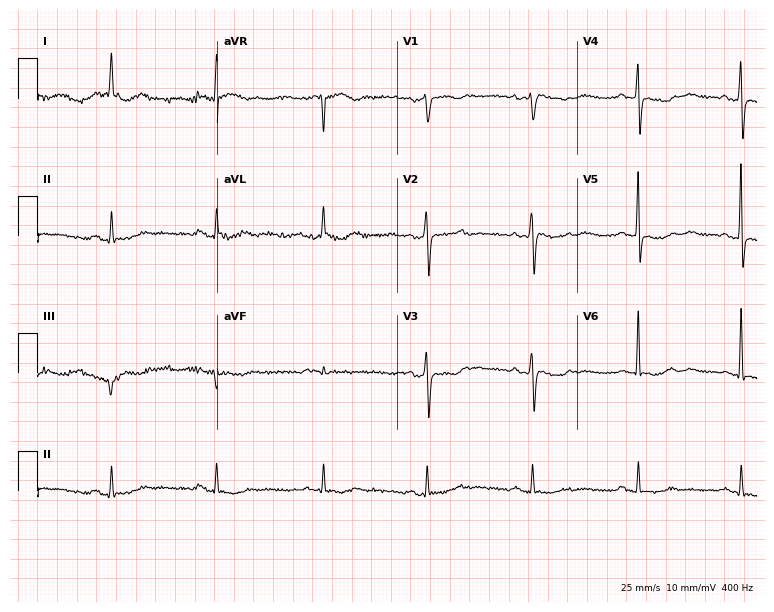
12-lead ECG (7.3-second recording at 400 Hz) from a woman, 83 years old. Screened for six findings — first-degree AV block, right bundle branch block, left bundle branch block, sinus bradycardia, atrial fibrillation, sinus tachycardia — none is recorded. Other findings, if any, are not listed.